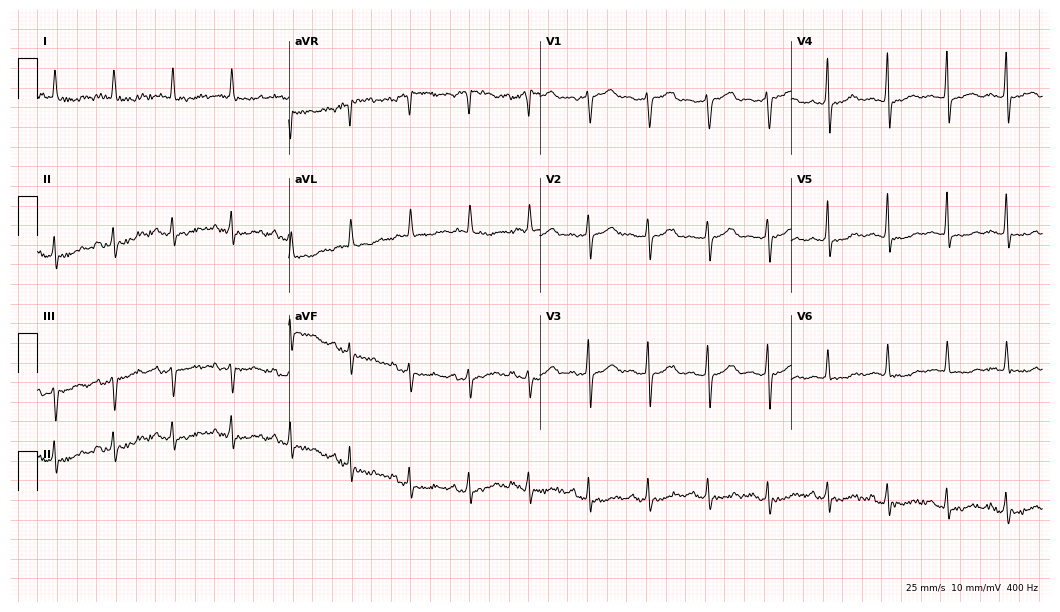
12-lead ECG from a female patient, 76 years old. No first-degree AV block, right bundle branch block, left bundle branch block, sinus bradycardia, atrial fibrillation or sinus tachycardia recorded for this tracing. Only these six findings were labelled.